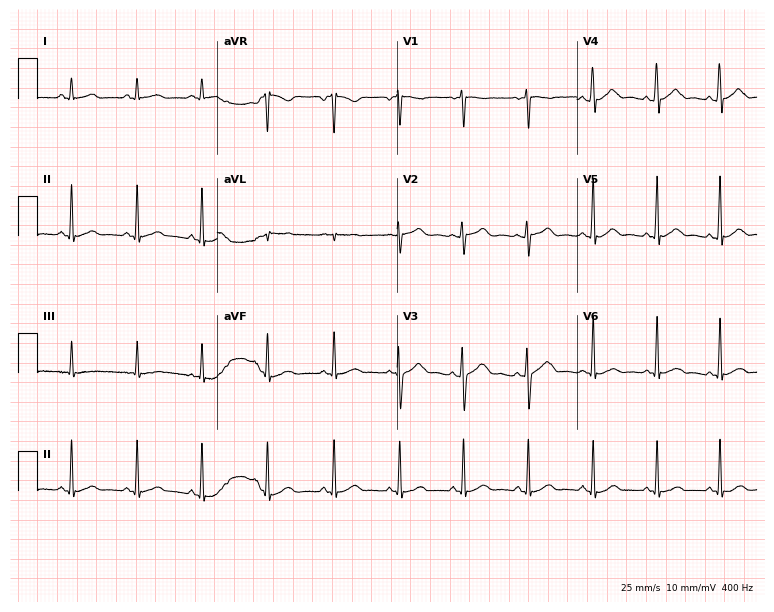
Resting 12-lead electrocardiogram. Patient: a 23-year-old woman. None of these six findings is recorded: first-degree AV block, right bundle branch block, left bundle branch block, sinus bradycardia, atrial fibrillation, sinus tachycardia. Only these six findings were labelled.